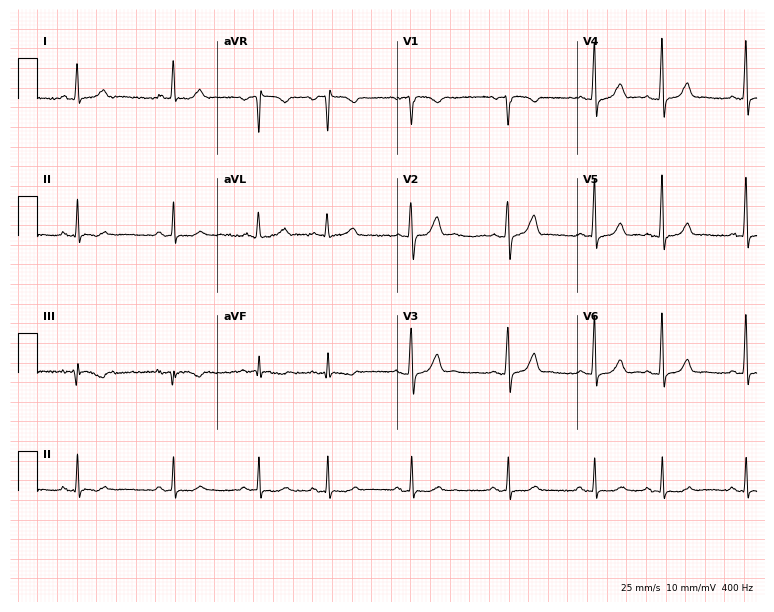
12-lead ECG from a 60-year-old woman (7.3-second recording at 400 Hz). No first-degree AV block, right bundle branch block, left bundle branch block, sinus bradycardia, atrial fibrillation or sinus tachycardia recorded for this tracing. Only these six findings were labelled.